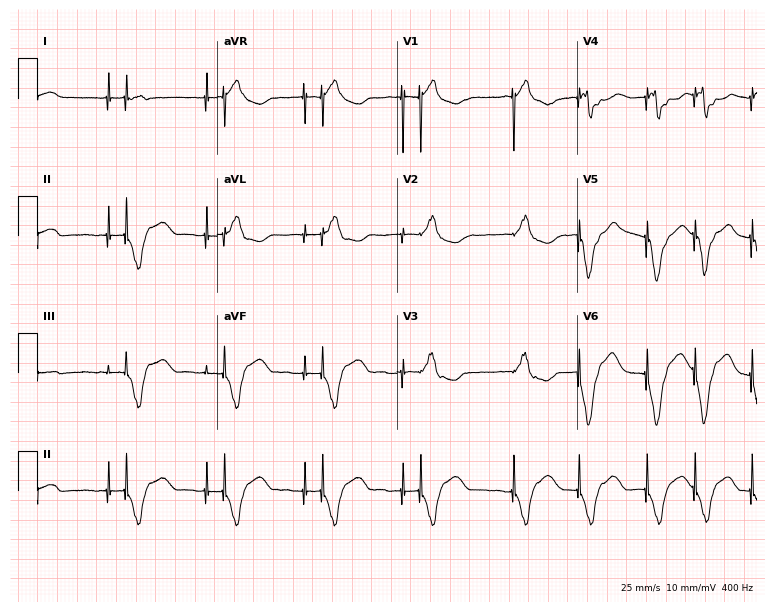
12-lead ECG (7.3-second recording at 400 Hz) from a 63-year-old man. Screened for six findings — first-degree AV block, right bundle branch block, left bundle branch block, sinus bradycardia, atrial fibrillation, sinus tachycardia — none is recorded. Other findings, if any, are not listed.